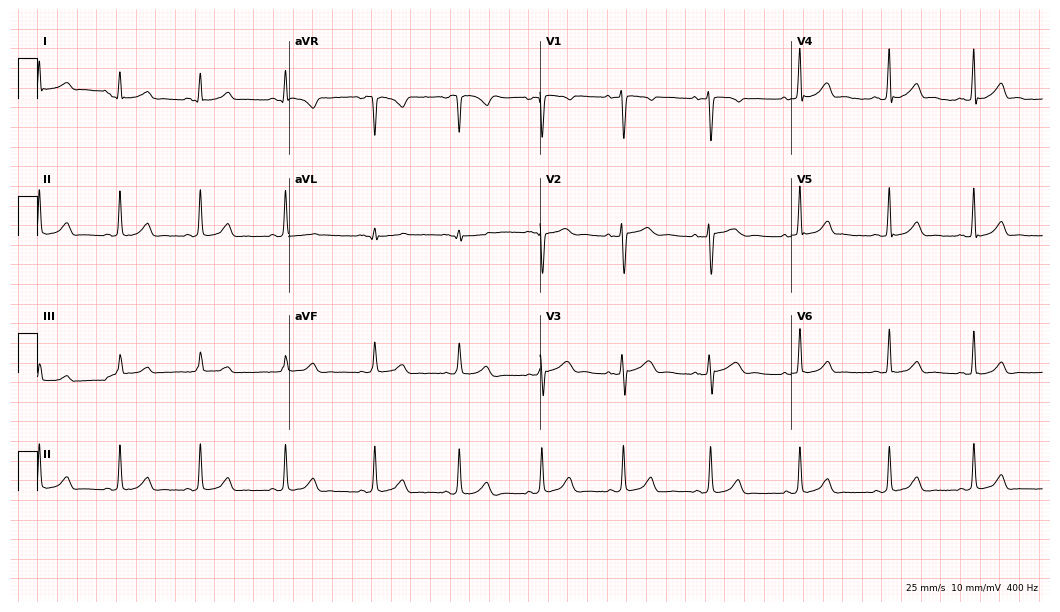
Standard 12-lead ECG recorded from a woman, 22 years old. Read as a normal ECG.